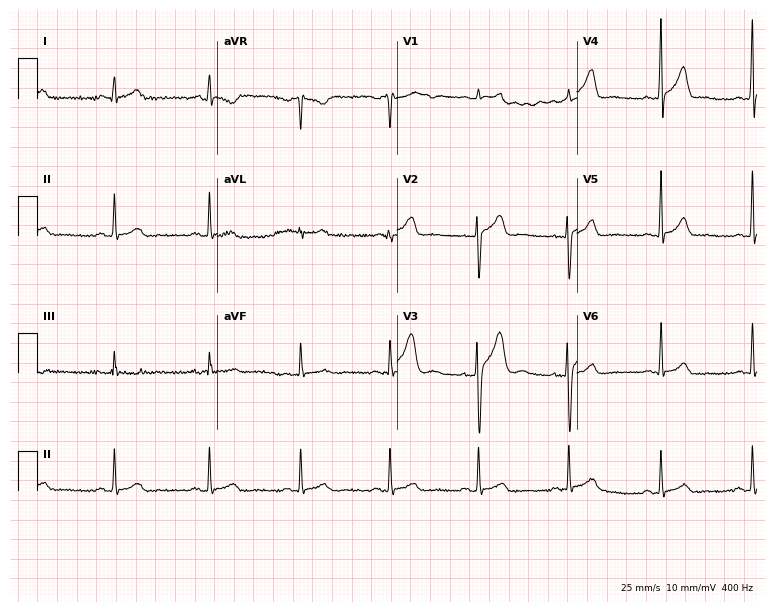
Electrocardiogram, a male patient, 31 years old. Overall reading on record: normal ECG.